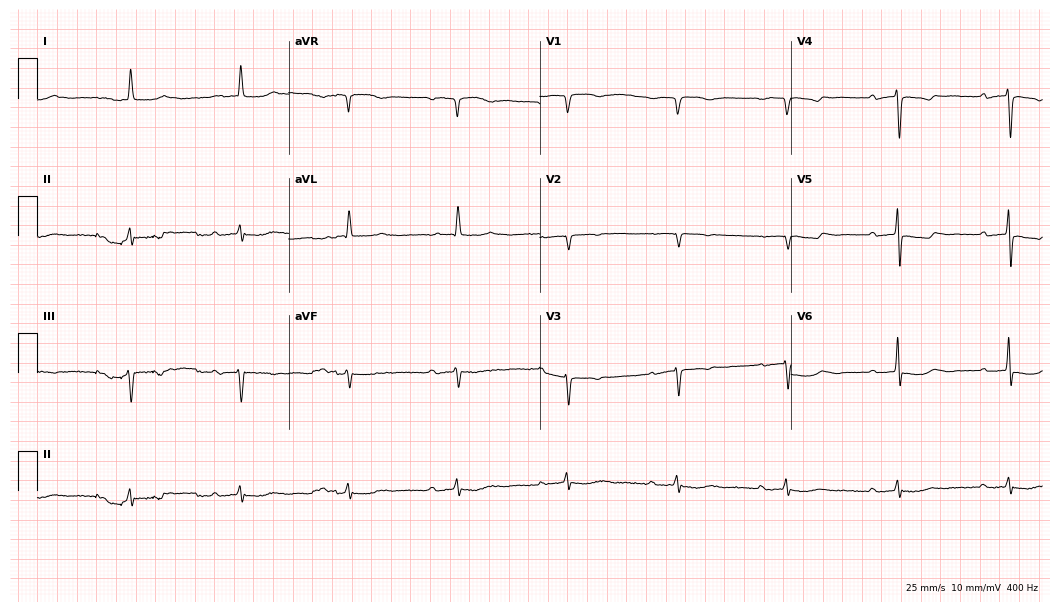
Standard 12-lead ECG recorded from a female patient, 73 years old. None of these six findings is recorded: first-degree AV block, right bundle branch block (RBBB), left bundle branch block (LBBB), sinus bradycardia, atrial fibrillation (AF), sinus tachycardia.